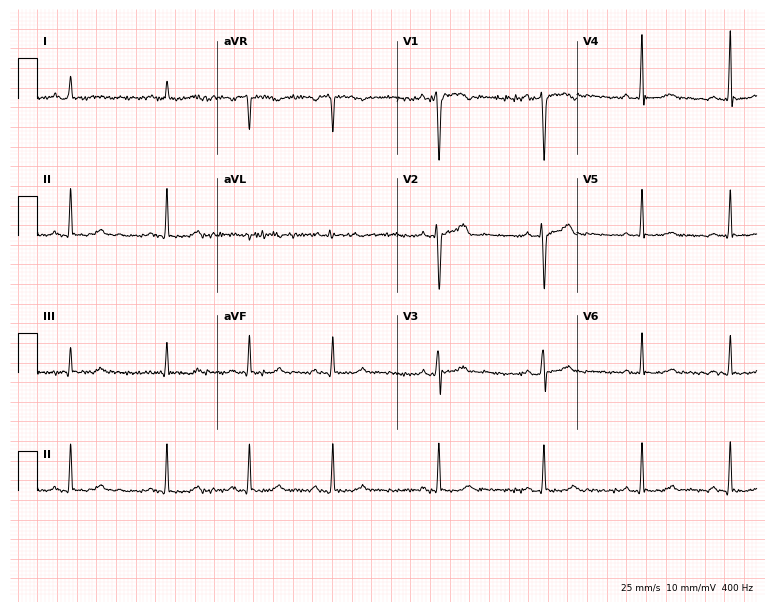
12-lead ECG from a woman, 22 years old (7.3-second recording at 400 Hz). No first-degree AV block, right bundle branch block (RBBB), left bundle branch block (LBBB), sinus bradycardia, atrial fibrillation (AF) or sinus tachycardia recorded for this tracing. Only these six findings were labelled.